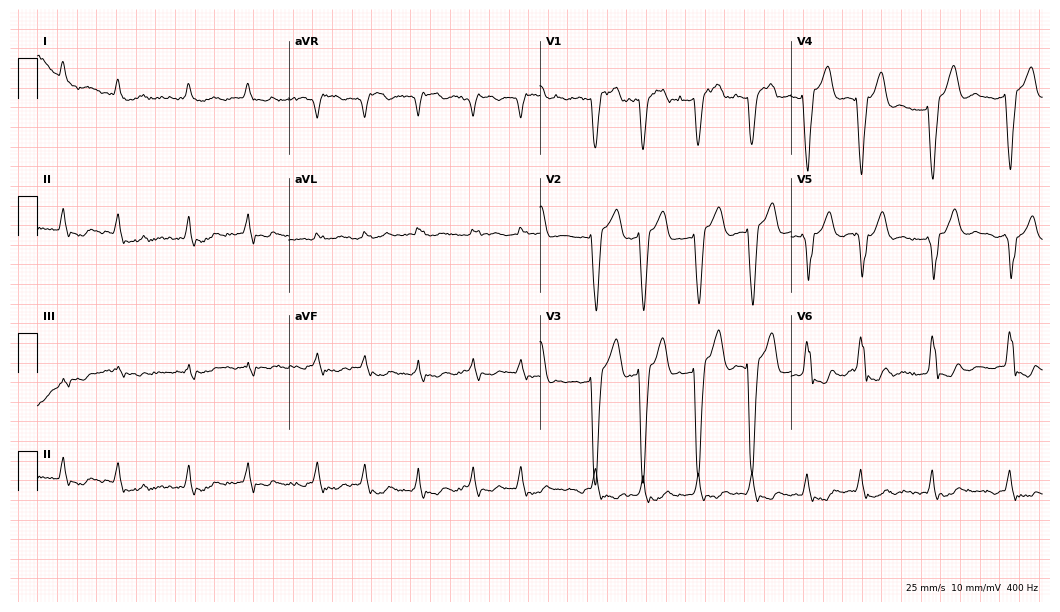
Resting 12-lead electrocardiogram. Patient: an 85-year-old man. The tracing shows left bundle branch block (LBBB), atrial fibrillation (AF).